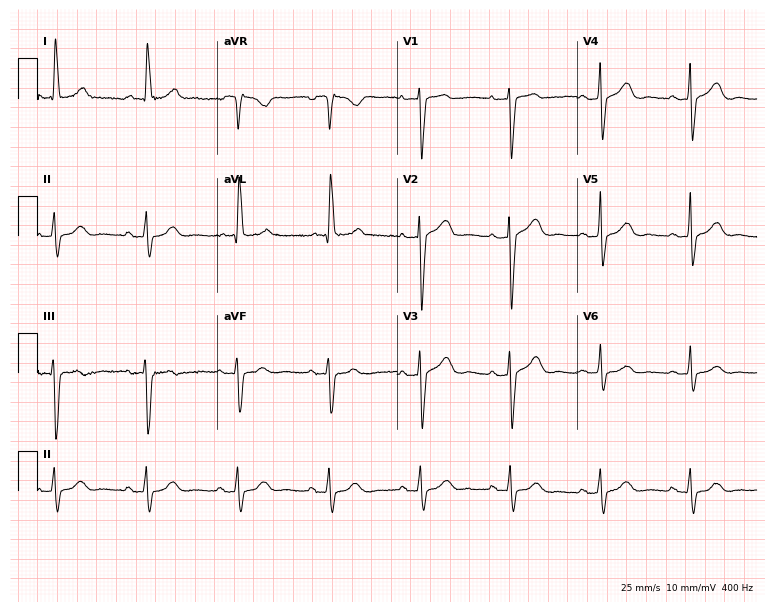
12-lead ECG (7.3-second recording at 400 Hz) from a female patient, 82 years old. Labelled as a normal ECG.